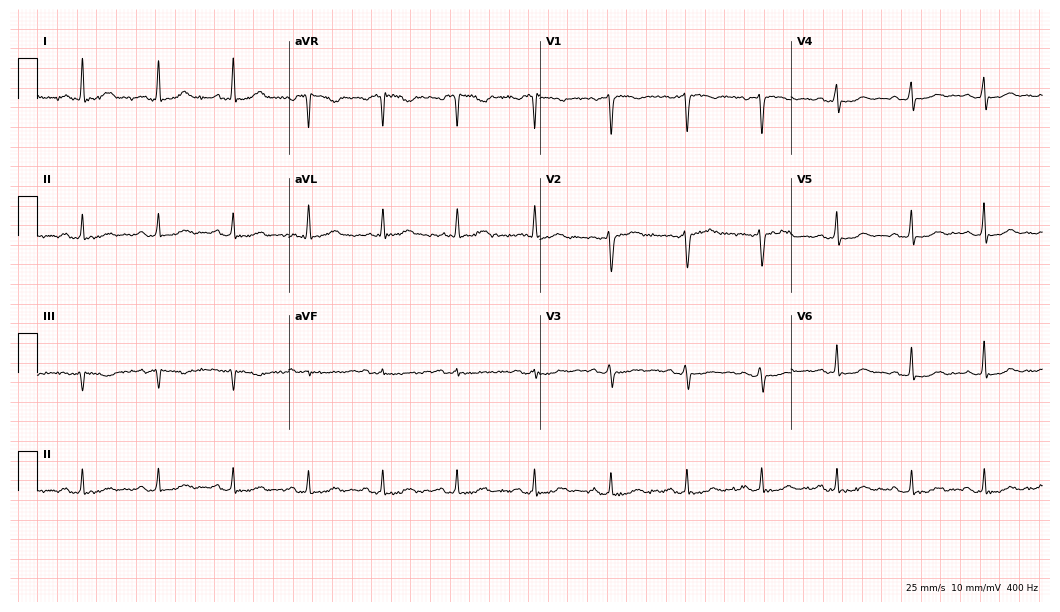
Electrocardiogram (10.2-second recording at 400 Hz), a 43-year-old woman. Overall reading on record: normal ECG.